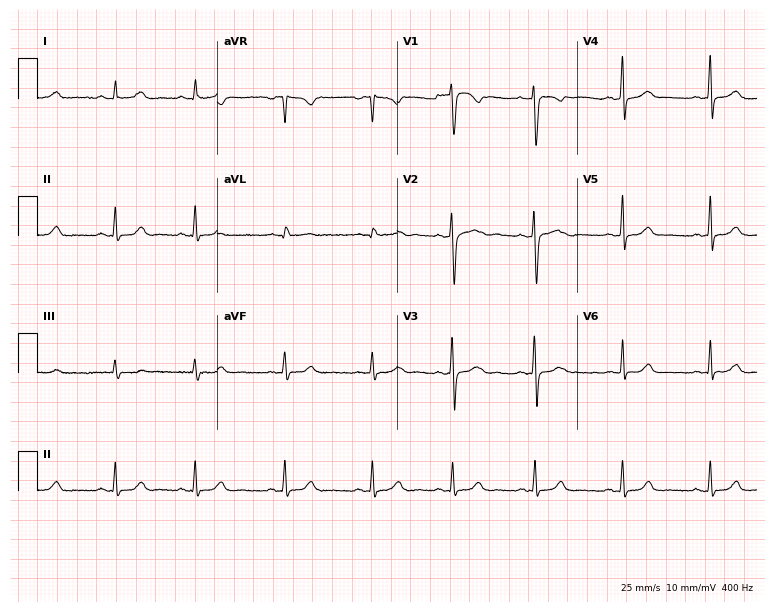
Resting 12-lead electrocardiogram. Patient: a female, 24 years old. Read as a normal ECG.